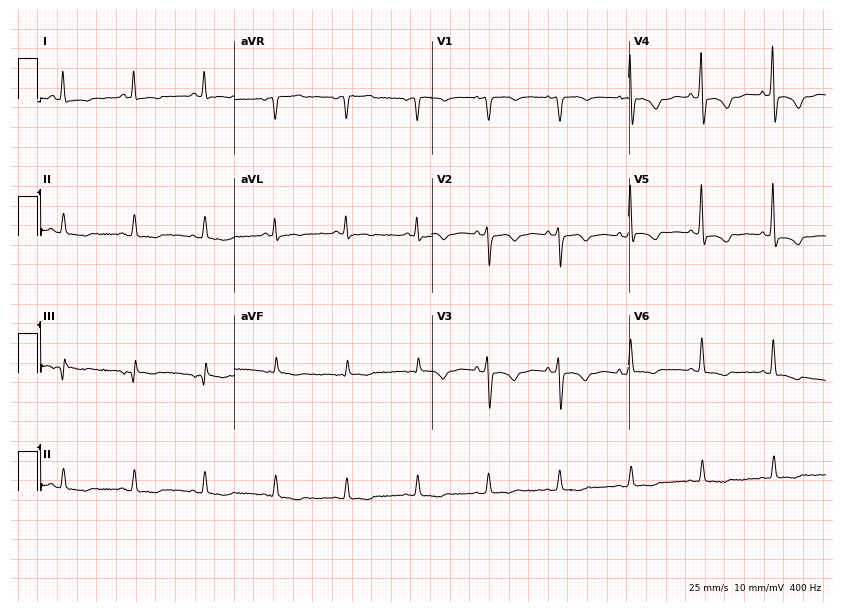
Standard 12-lead ECG recorded from a 76-year-old female. None of these six findings is recorded: first-degree AV block, right bundle branch block, left bundle branch block, sinus bradycardia, atrial fibrillation, sinus tachycardia.